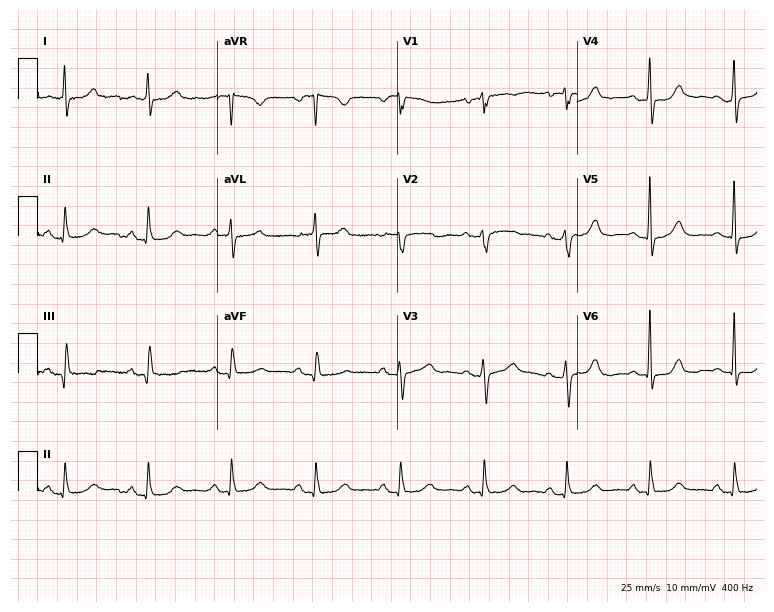
Standard 12-lead ECG recorded from a 59-year-old female patient. None of these six findings is recorded: first-degree AV block, right bundle branch block, left bundle branch block, sinus bradycardia, atrial fibrillation, sinus tachycardia. Findings outside these six are not listed.